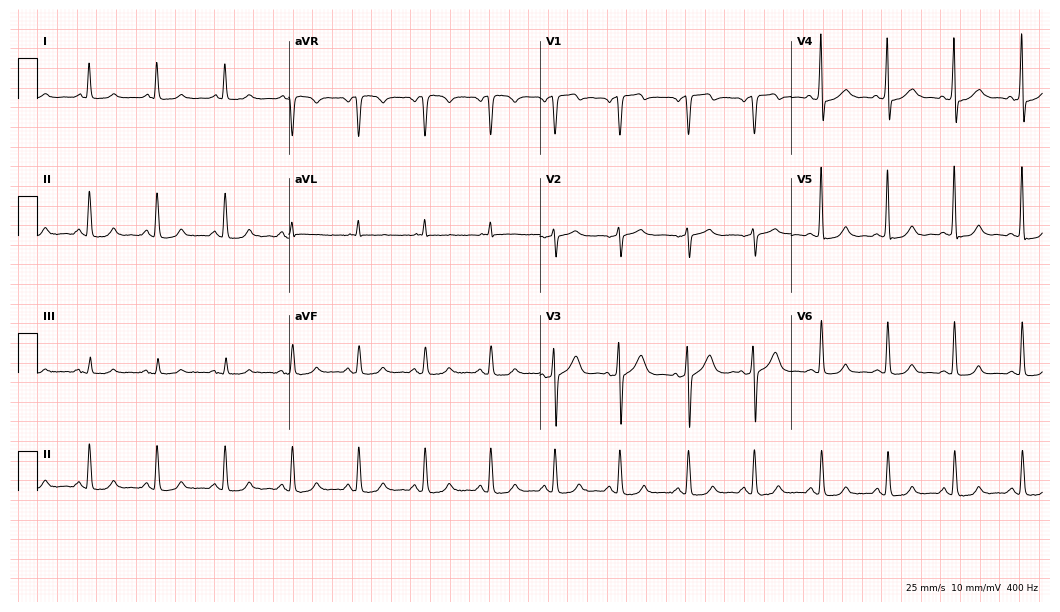
12-lead ECG from a male, 44 years old (10.2-second recording at 400 Hz). No first-degree AV block, right bundle branch block (RBBB), left bundle branch block (LBBB), sinus bradycardia, atrial fibrillation (AF) or sinus tachycardia recorded for this tracing.